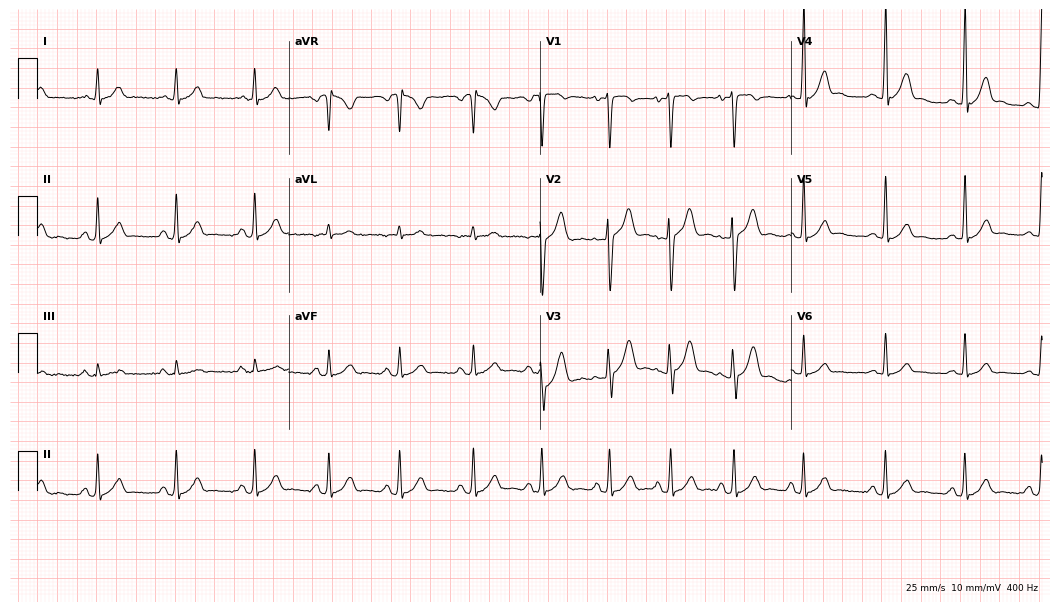
Resting 12-lead electrocardiogram. Patient: a man, 19 years old. None of these six findings is recorded: first-degree AV block, right bundle branch block, left bundle branch block, sinus bradycardia, atrial fibrillation, sinus tachycardia. Other findings, if any, are not listed.